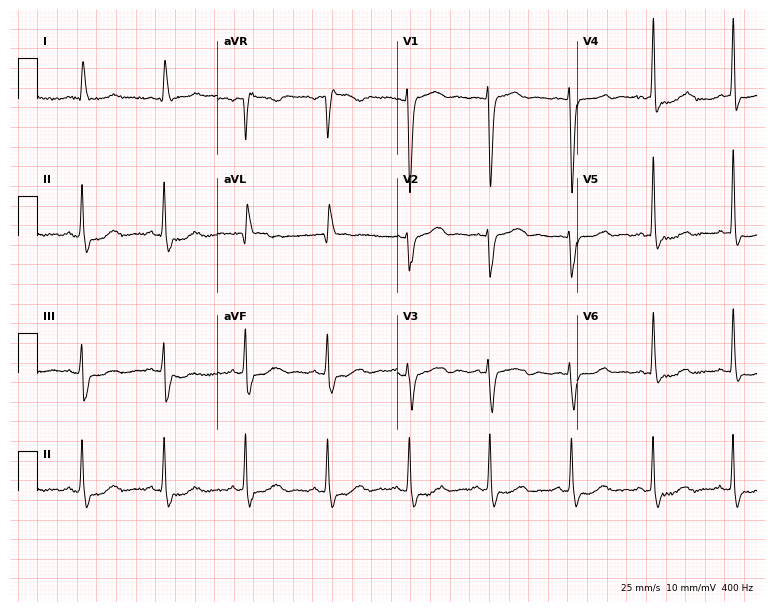
Electrocardiogram, a woman, 80 years old. Of the six screened findings (first-degree AV block, right bundle branch block, left bundle branch block, sinus bradycardia, atrial fibrillation, sinus tachycardia), none is recorded.